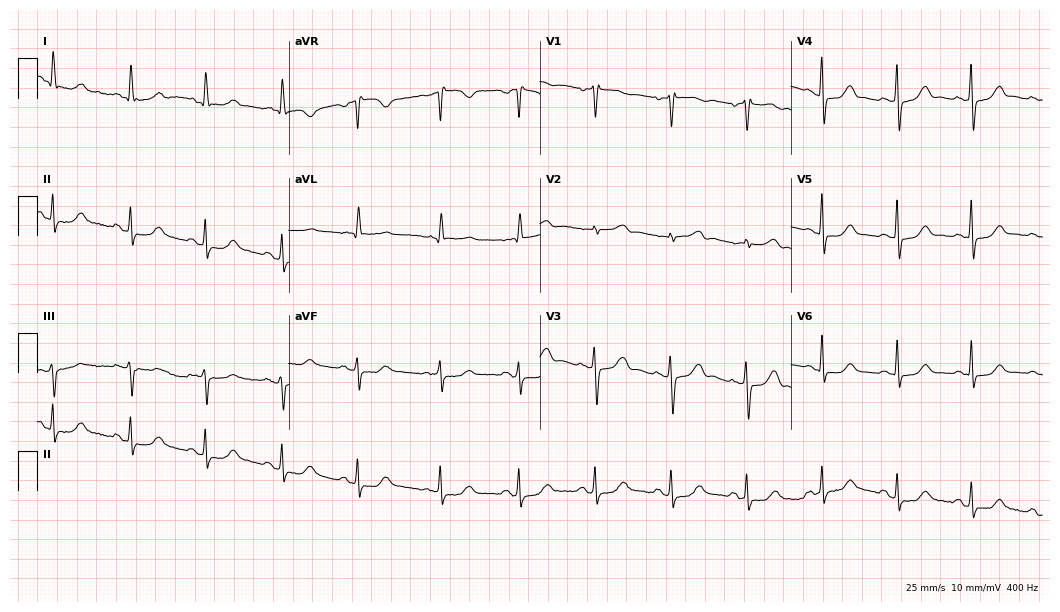
Resting 12-lead electrocardiogram. Patient: a female, 70 years old. Read as a normal ECG.